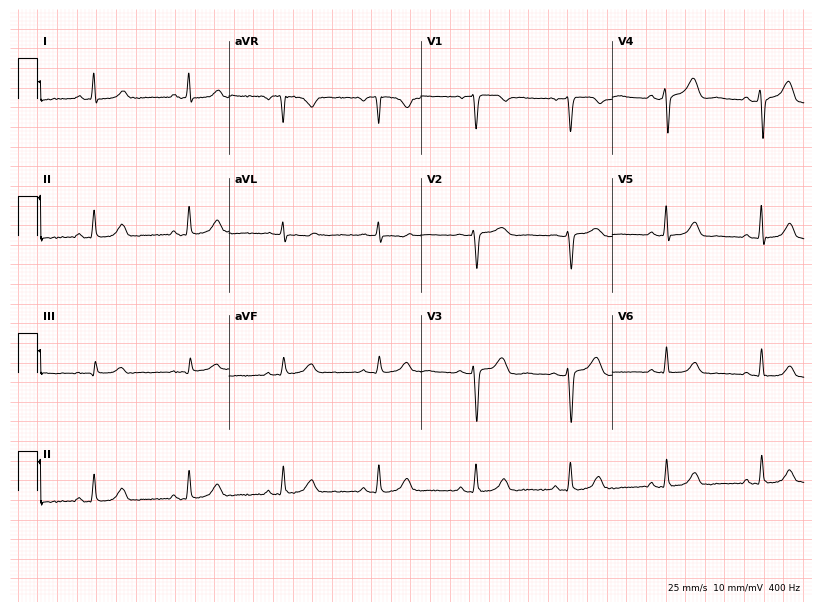
ECG — a 67-year-old female patient. Screened for six findings — first-degree AV block, right bundle branch block, left bundle branch block, sinus bradycardia, atrial fibrillation, sinus tachycardia — none is recorded.